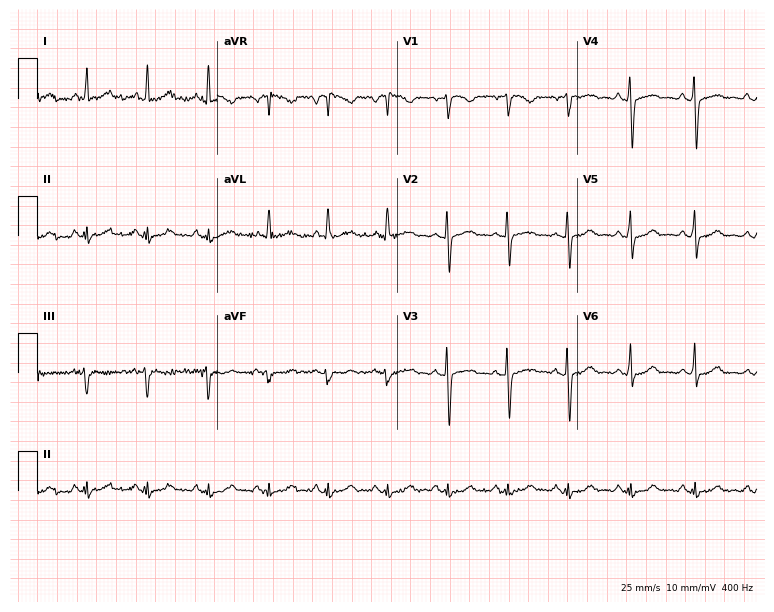
Standard 12-lead ECG recorded from a 48-year-old female. Read as a normal ECG.